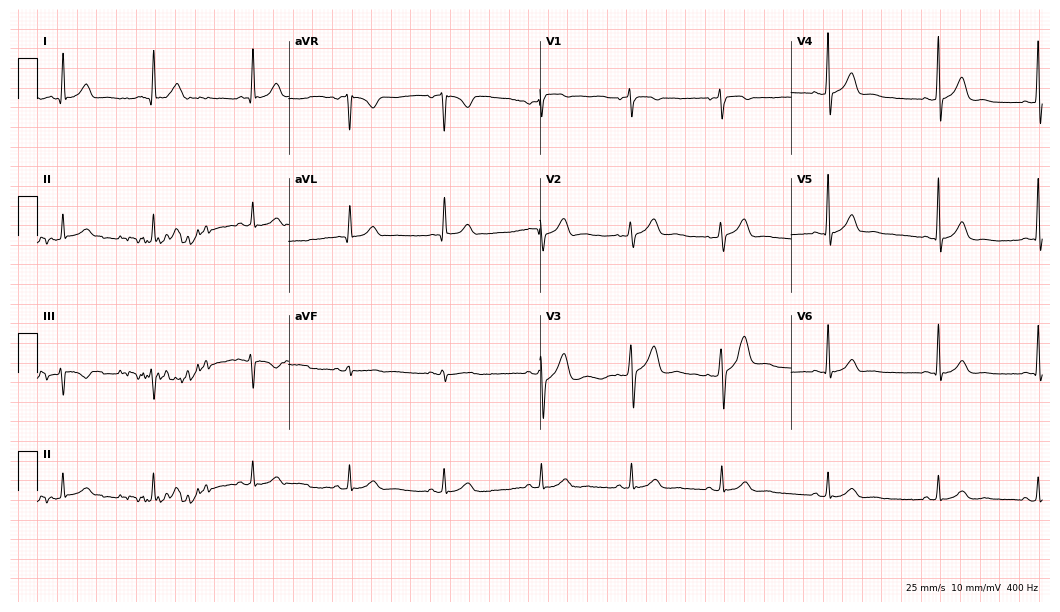
12-lead ECG from a man, 45 years old. Recorded interpretation: within normal limits.